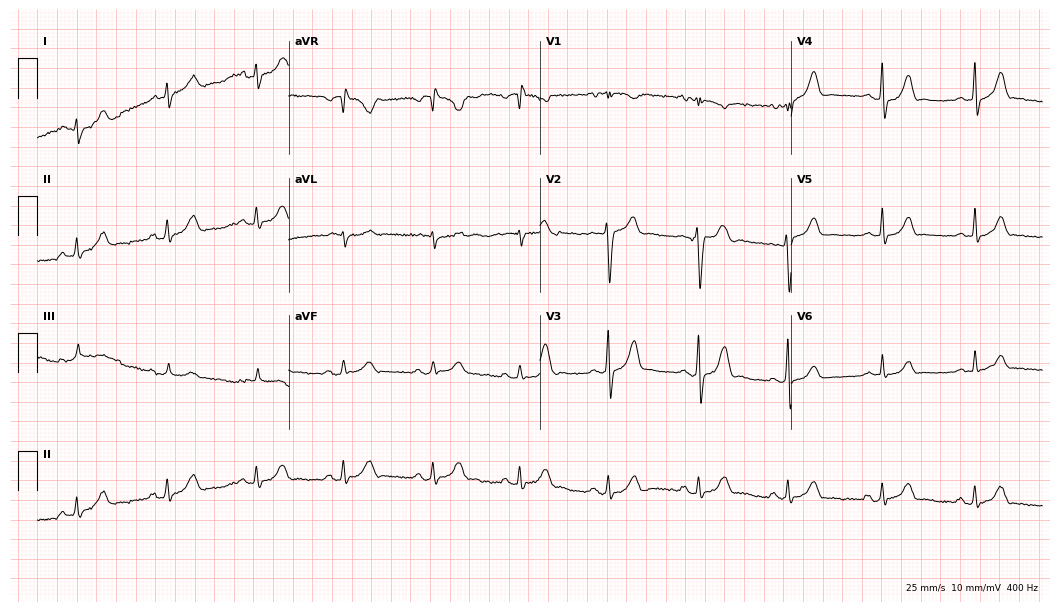
Electrocardiogram (10.2-second recording at 400 Hz), a 38-year-old man. Overall reading on record: normal ECG.